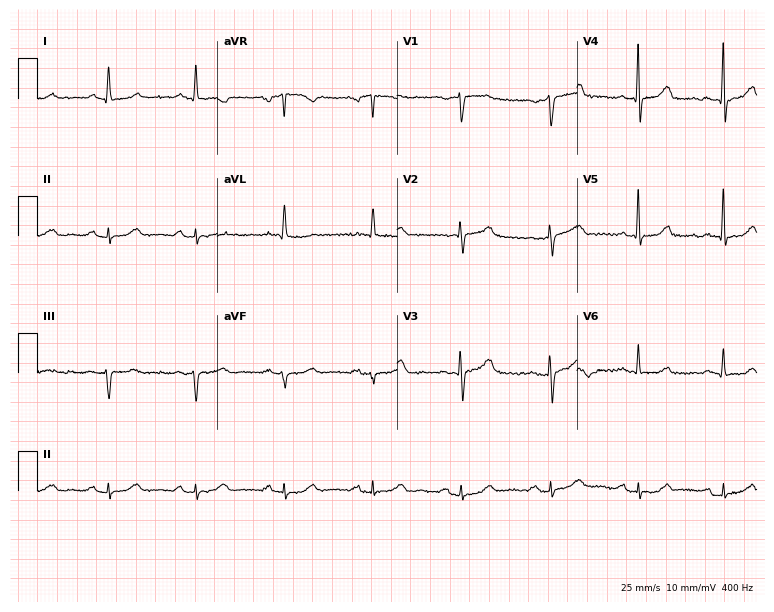
12-lead ECG from a 76-year-old woman (7.3-second recording at 400 Hz). Recorded interpretation: within normal limits.